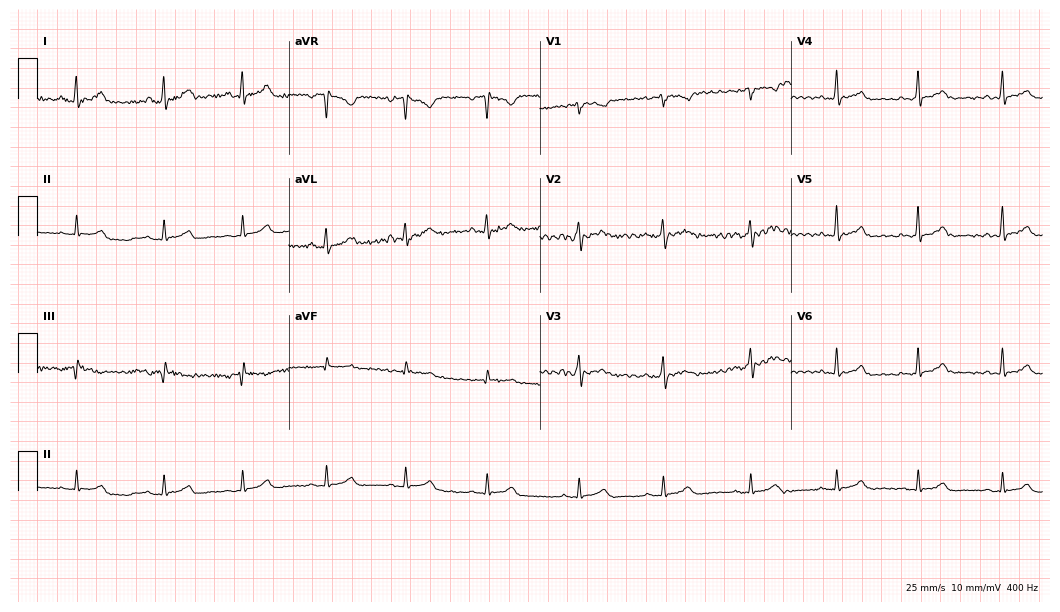
12-lead ECG (10.2-second recording at 400 Hz) from a woman, 31 years old. Labelled as a normal ECG.